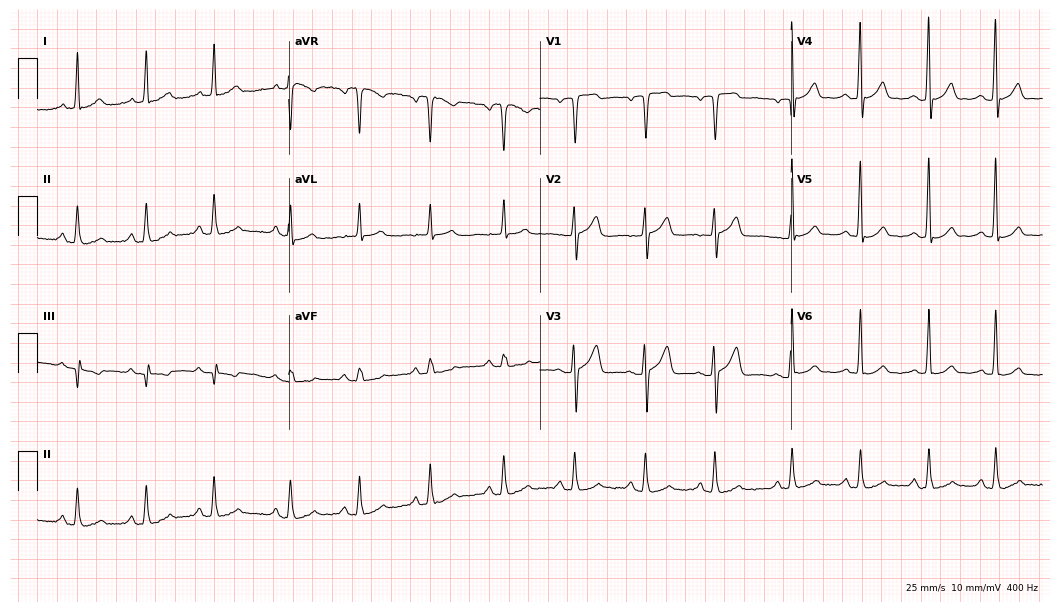
Electrocardiogram, a woman, 63 years old. Overall reading on record: normal ECG.